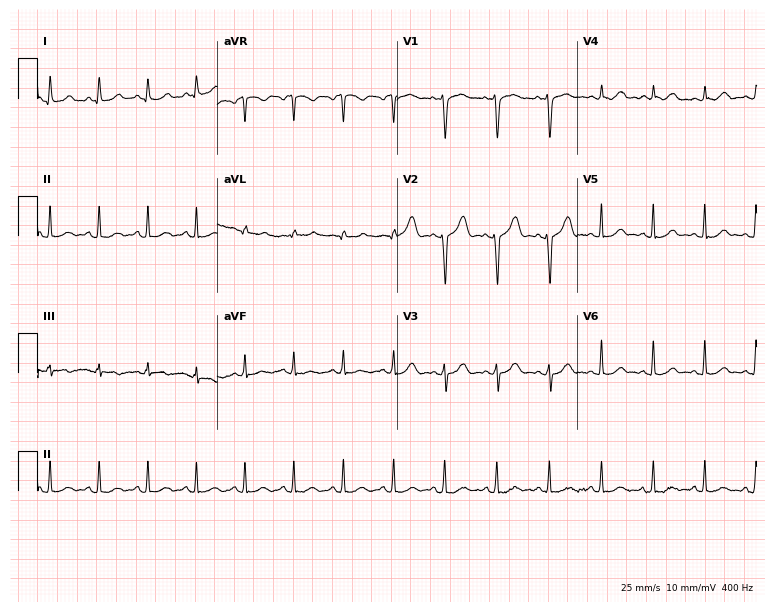
12-lead ECG from a 53-year-old female patient. Shows sinus tachycardia (a sinus rate of 100 beats per minute or more).